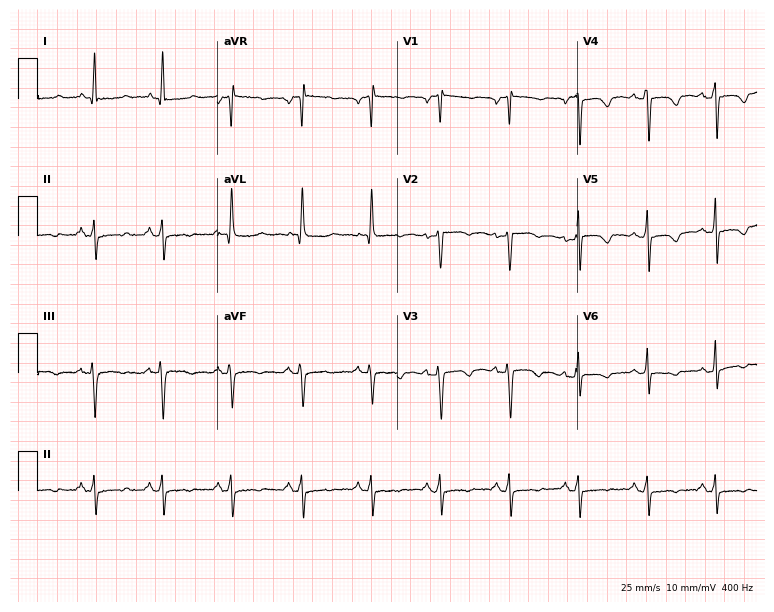
Standard 12-lead ECG recorded from a 60-year-old woman. None of these six findings is recorded: first-degree AV block, right bundle branch block, left bundle branch block, sinus bradycardia, atrial fibrillation, sinus tachycardia. Other findings, if any, are not listed.